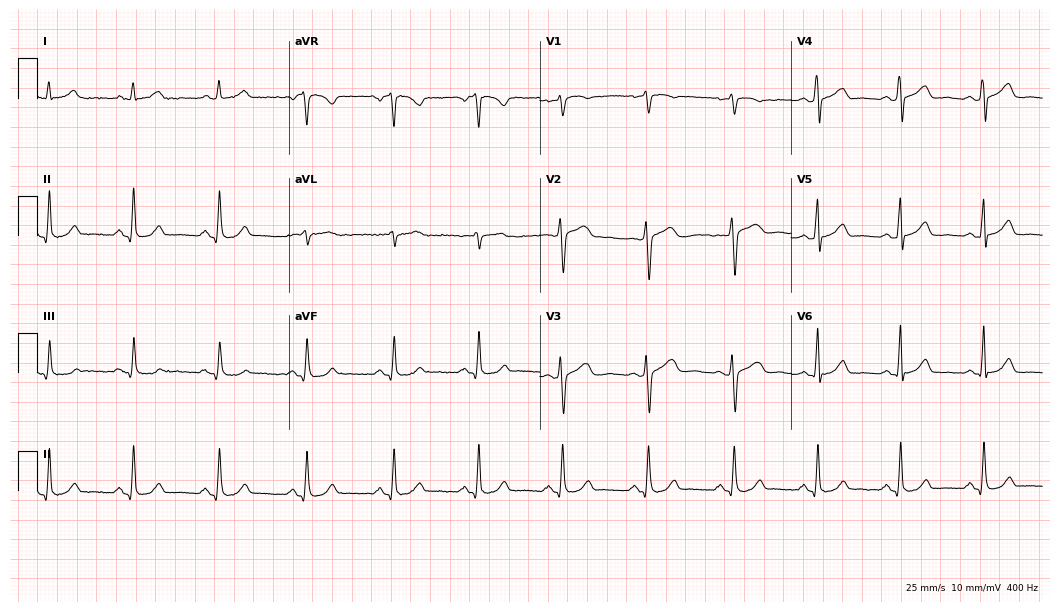
12-lead ECG (10.2-second recording at 400 Hz) from a 52-year-old female. Labelled as a normal ECG.